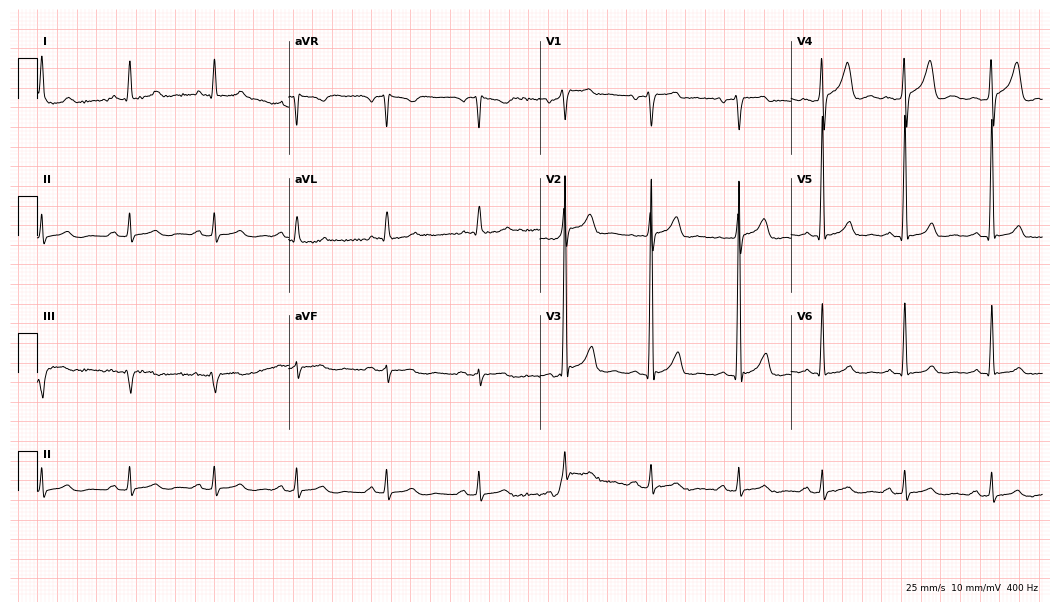
12-lead ECG from a 54-year-old male. Recorded interpretation: within normal limits.